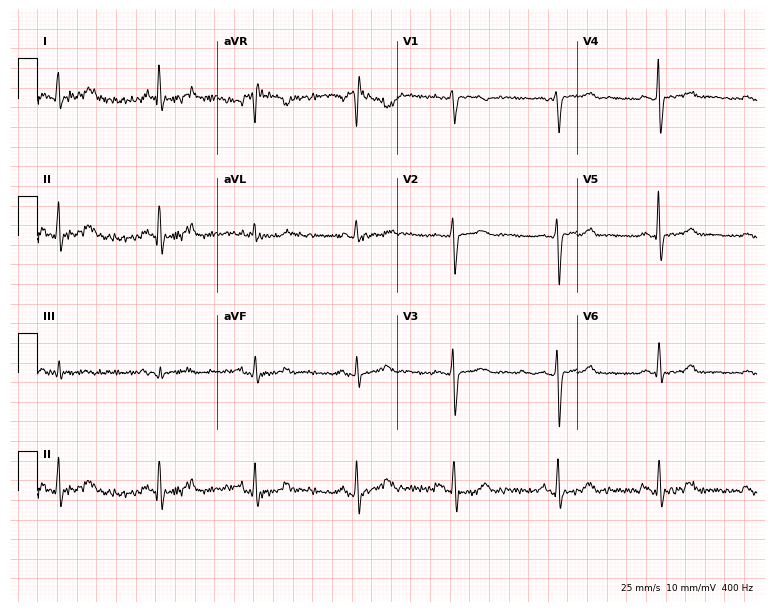
ECG (7.3-second recording at 400 Hz) — a woman, 54 years old. Labelled as a normal ECG.